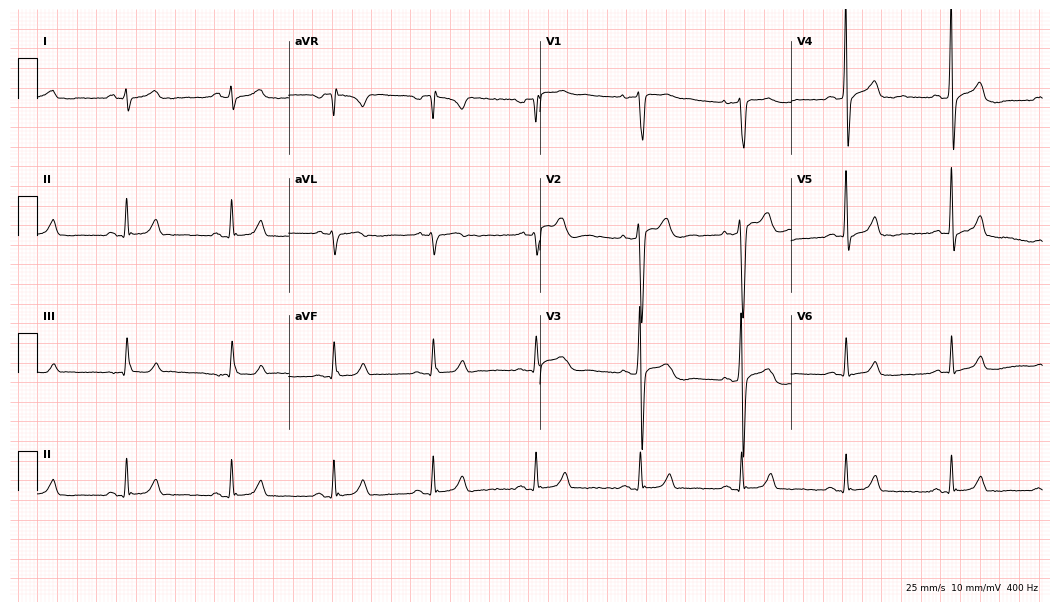
12-lead ECG from a male, 47 years old (10.2-second recording at 400 Hz). No first-degree AV block, right bundle branch block, left bundle branch block, sinus bradycardia, atrial fibrillation or sinus tachycardia recorded for this tracing.